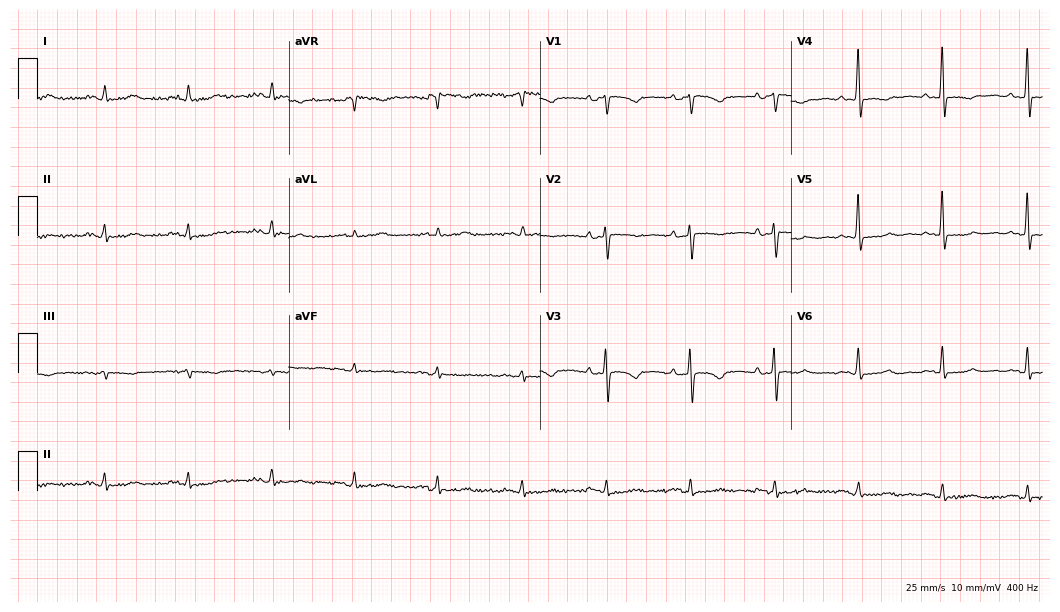
Standard 12-lead ECG recorded from a 51-year-old female patient. None of these six findings is recorded: first-degree AV block, right bundle branch block (RBBB), left bundle branch block (LBBB), sinus bradycardia, atrial fibrillation (AF), sinus tachycardia. Other findings, if any, are not listed.